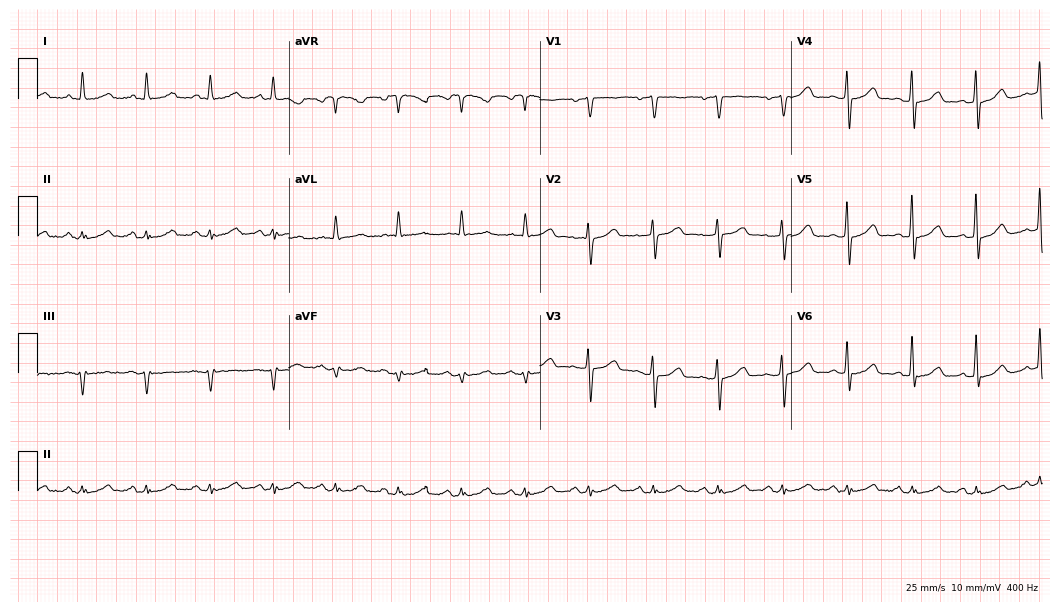
12-lead ECG from a 70-year-old female (10.2-second recording at 400 Hz). Recorded interpretation: within normal limits.